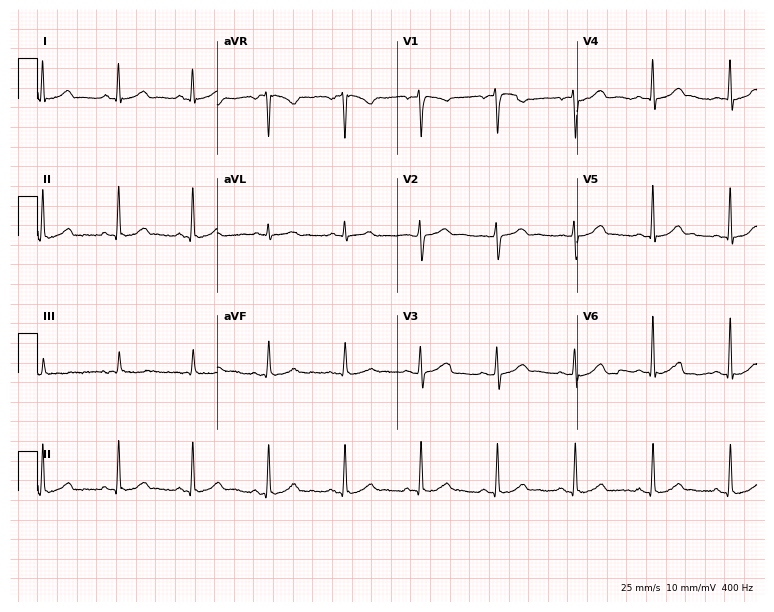
12-lead ECG from a female, 44 years old (7.3-second recording at 400 Hz). Recorded interpretation: within normal limits.